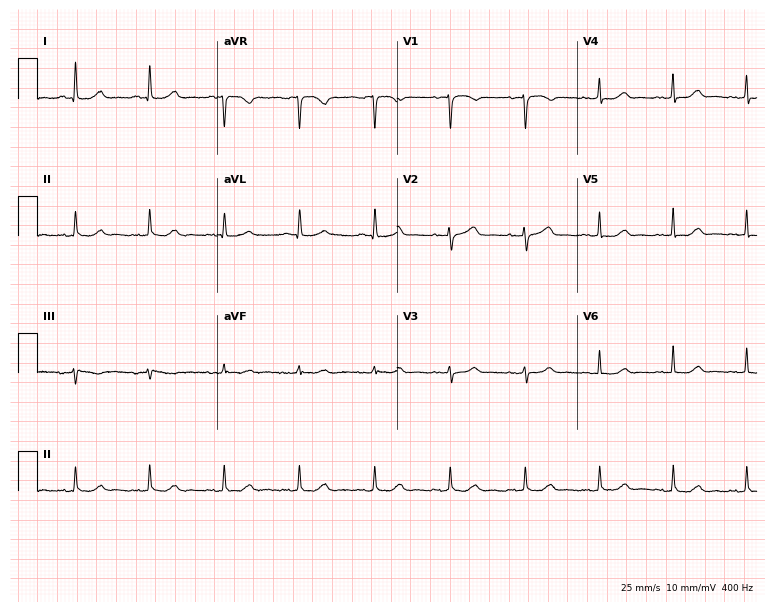
Resting 12-lead electrocardiogram (7.3-second recording at 400 Hz). Patient: a female, 65 years old. Read as a normal ECG.